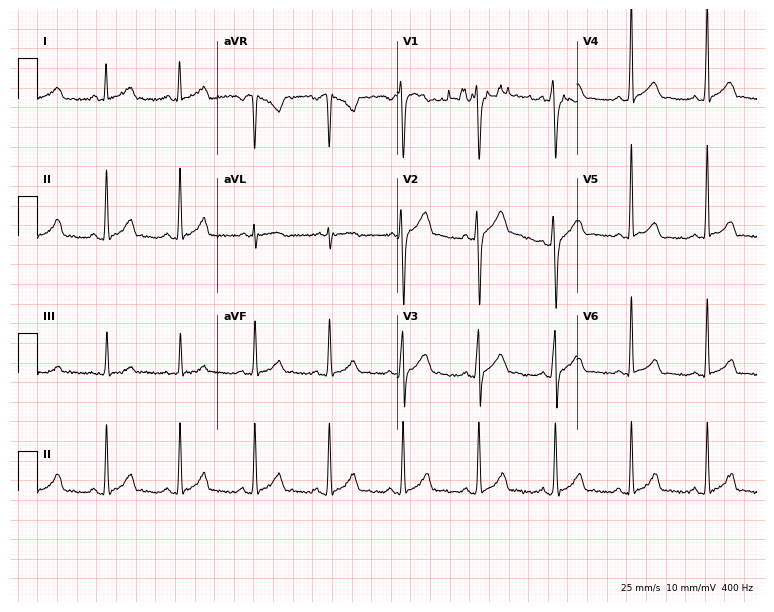
12-lead ECG (7.3-second recording at 400 Hz) from a male patient, 27 years old. Screened for six findings — first-degree AV block, right bundle branch block, left bundle branch block, sinus bradycardia, atrial fibrillation, sinus tachycardia — none is recorded. Other findings, if any, are not listed.